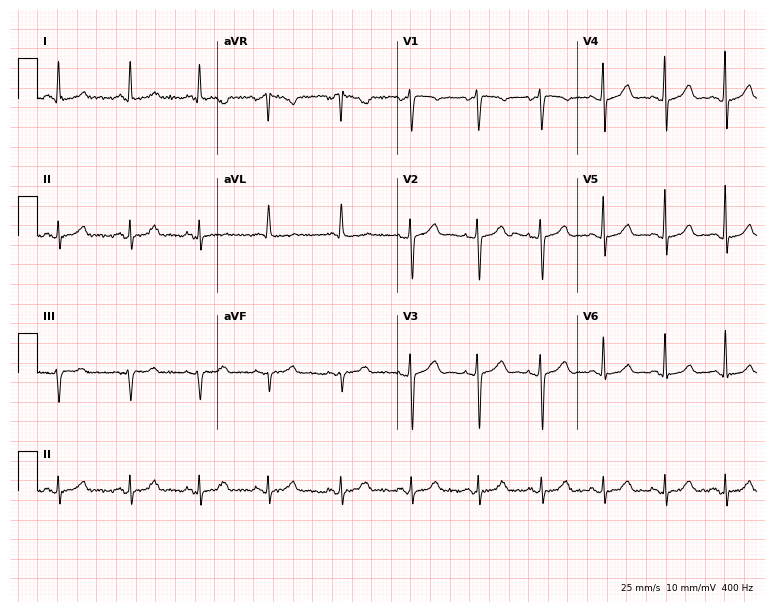
12-lead ECG from a 47-year-old man. No first-degree AV block, right bundle branch block (RBBB), left bundle branch block (LBBB), sinus bradycardia, atrial fibrillation (AF) or sinus tachycardia recorded for this tracing.